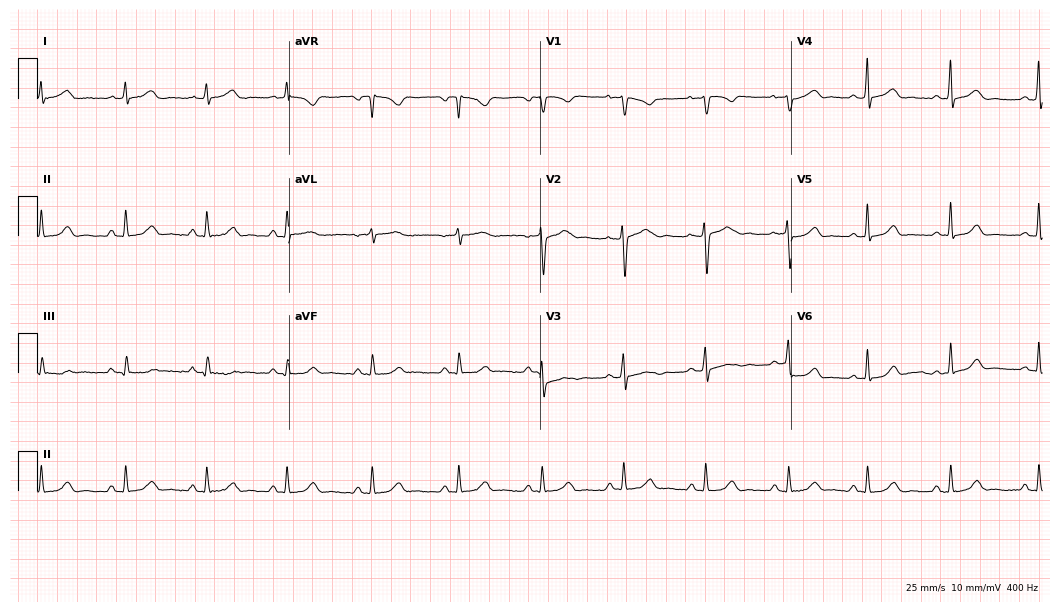
Resting 12-lead electrocardiogram. Patient: a female, 21 years old. Read as a normal ECG.